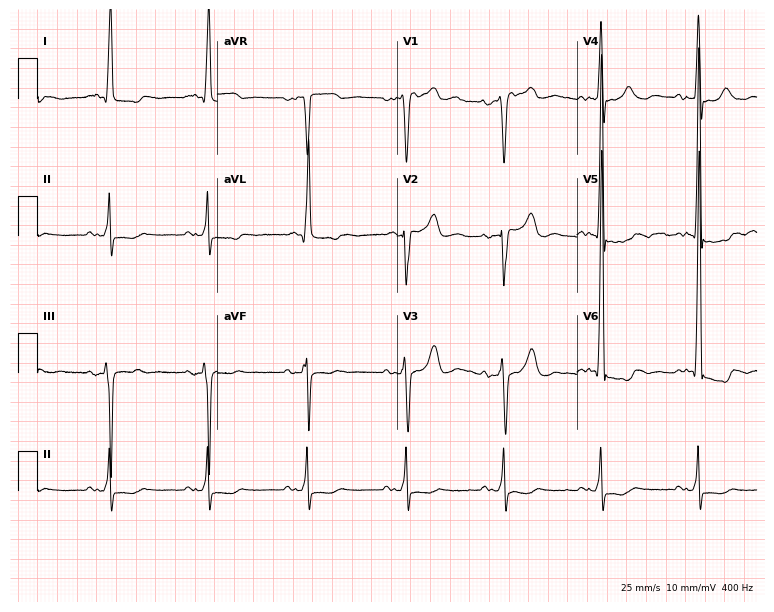
12-lead ECG from a male patient, 81 years old (7.3-second recording at 400 Hz). No first-degree AV block, right bundle branch block, left bundle branch block, sinus bradycardia, atrial fibrillation or sinus tachycardia recorded for this tracing.